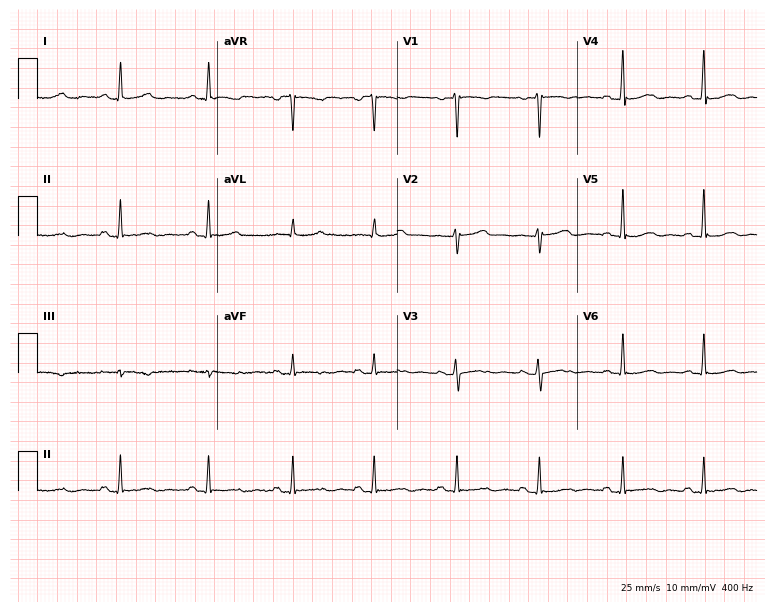
Electrocardiogram, a 45-year-old female. Of the six screened findings (first-degree AV block, right bundle branch block (RBBB), left bundle branch block (LBBB), sinus bradycardia, atrial fibrillation (AF), sinus tachycardia), none is recorded. Only these six findings were labelled.